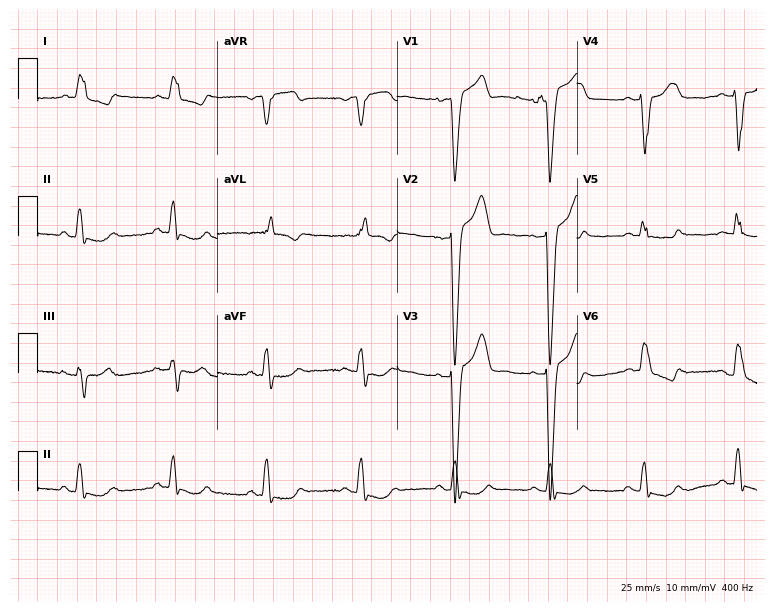
Standard 12-lead ECG recorded from a woman, 82 years old (7.3-second recording at 400 Hz). The tracing shows left bundle branch block.